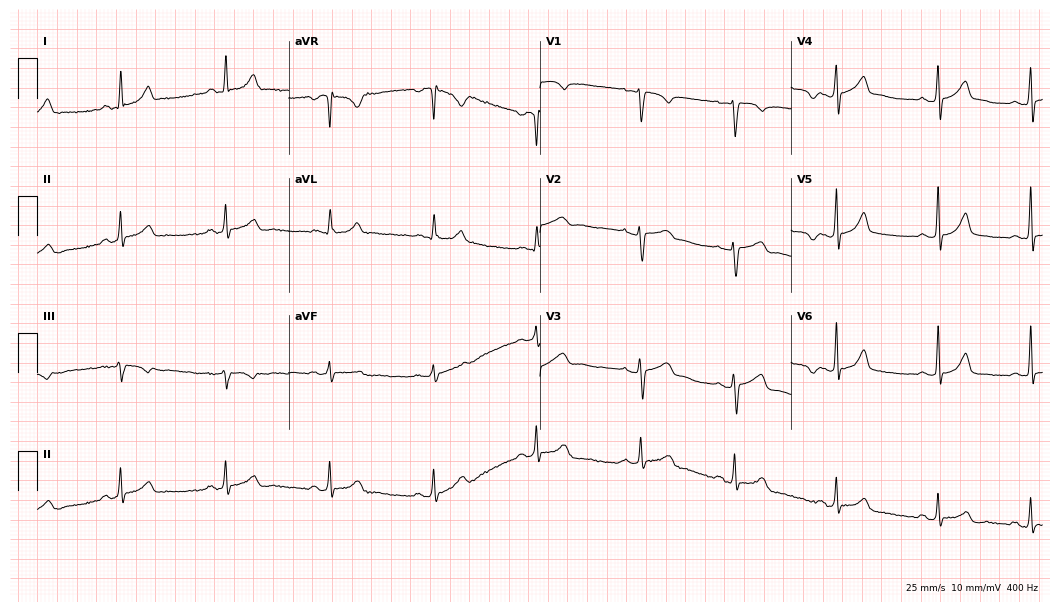
12-lead ECG from a female patient, 18 years old. Recorded interpretation: within normal limits.